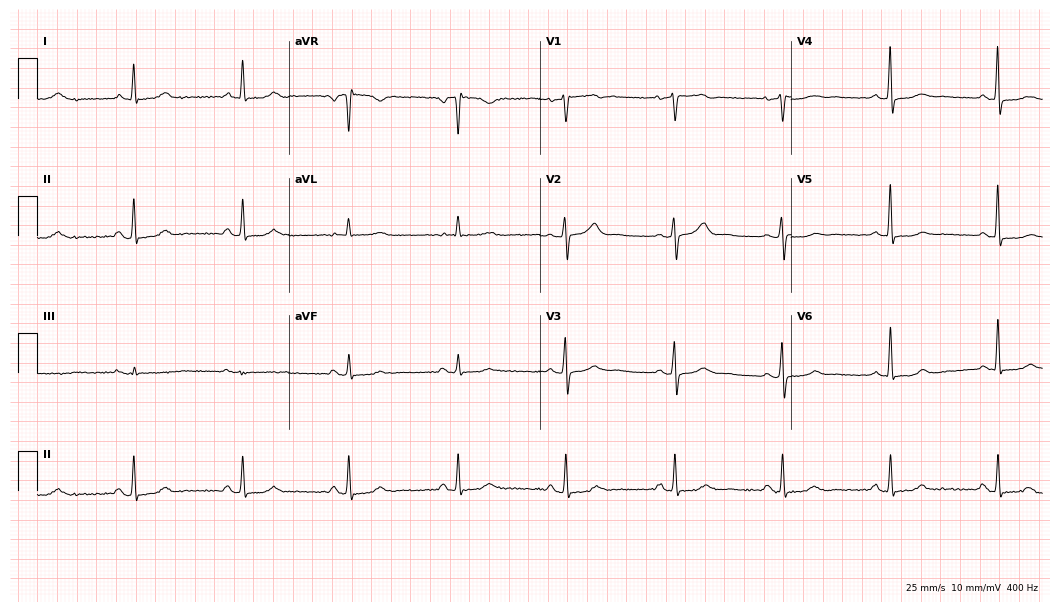
12-lead ECG from a female, 54 years old (10.2-second recording at 400 Hz). No first-degree AV block, right bundle branch block (RBBB), left bundle branch block (LBBB), sinus bradycardia, atrial fibrillation (AF) or sinus tachycardia recorded for this tracing.